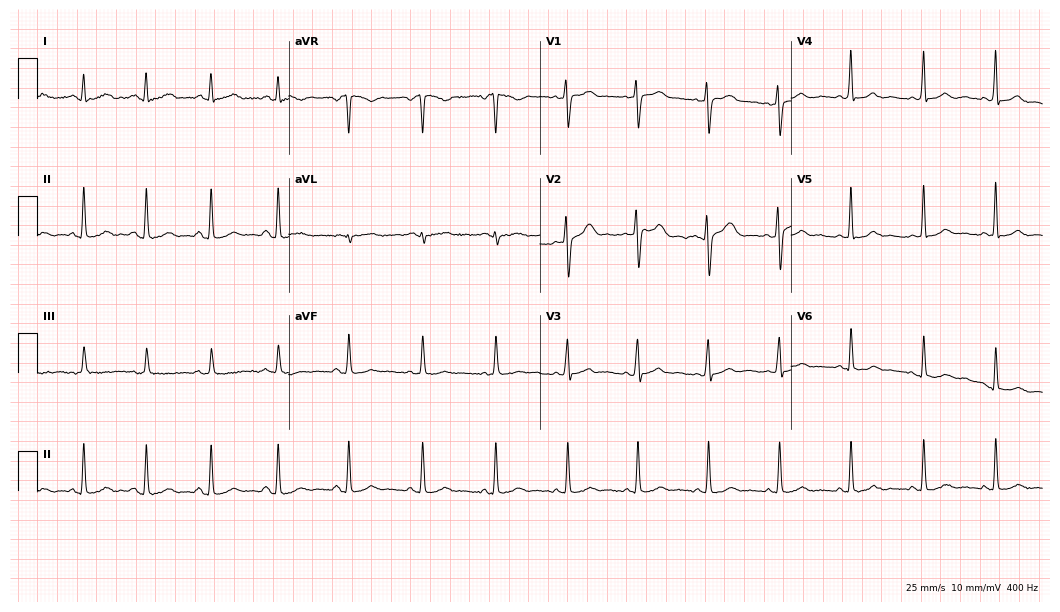
12-lead ECG from a female patient, 25 years old. Screened for six findings — first-degree AV block, right bundle branch block (RBBB), left bundle branch block (LBBB), sinus bradycardia, atrial fibrillation (AF), sinus tachycardia — none is recorded.